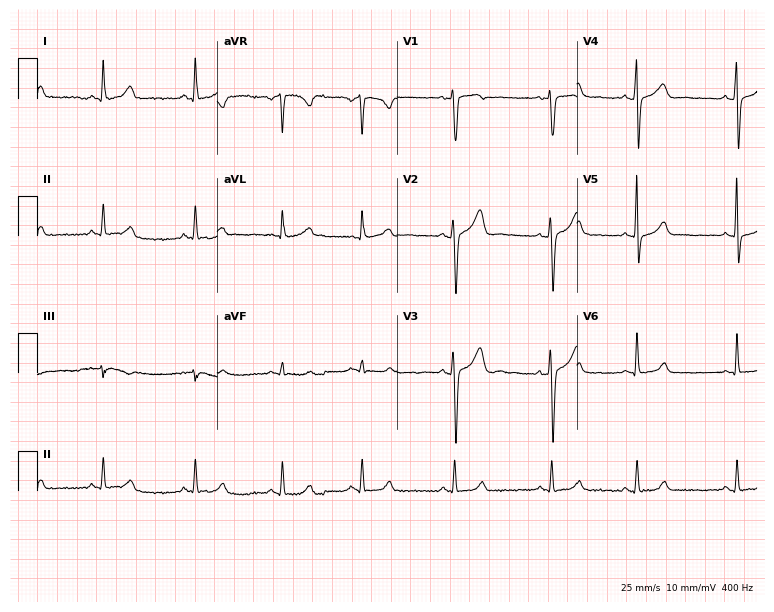
Resting 12-lead electrocardiogram (7.3-second recording at 400 Hz). Patient: a female, 31 years old. None of these six findings is recorded: first-degree AV block, right bundle branch block, left bundle branch block, sinus bradycardia, atrial fibrillation, sinus tachycardia.